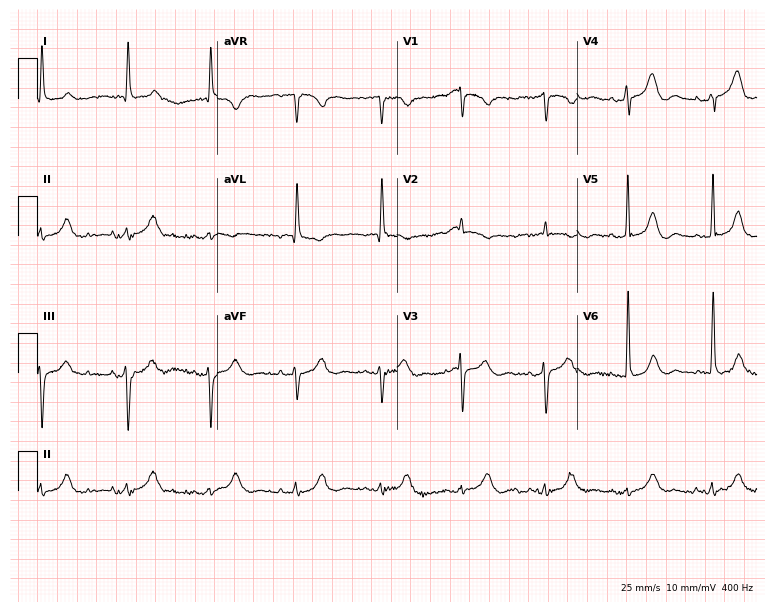
Resting 12-lead electrocardiogram. Patient: an 84-year-old woman. Read as a normal ECG.